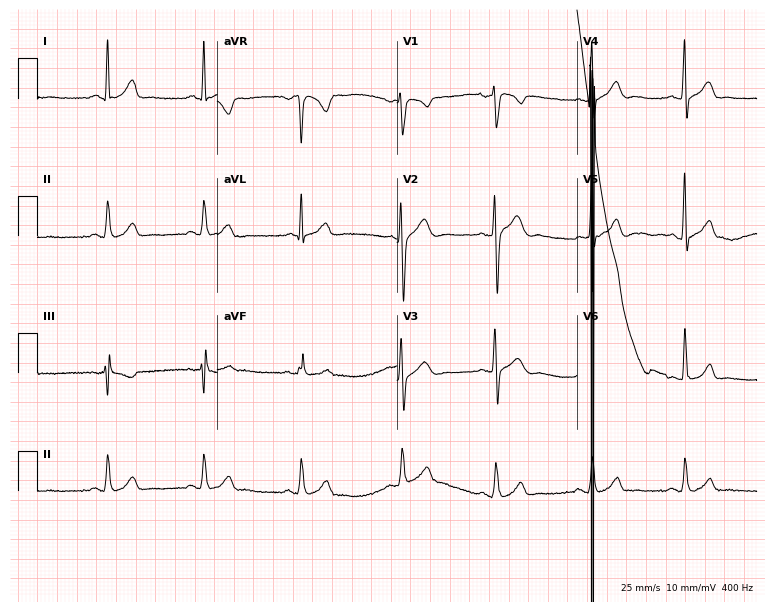
12-lead ECG from a man, 27 years old. No first-degree AV block, right bundle branch block, left bundle branch block, sinus bradycardia, atrial fibrillation or sinus tachycardia recorded for this tracing.